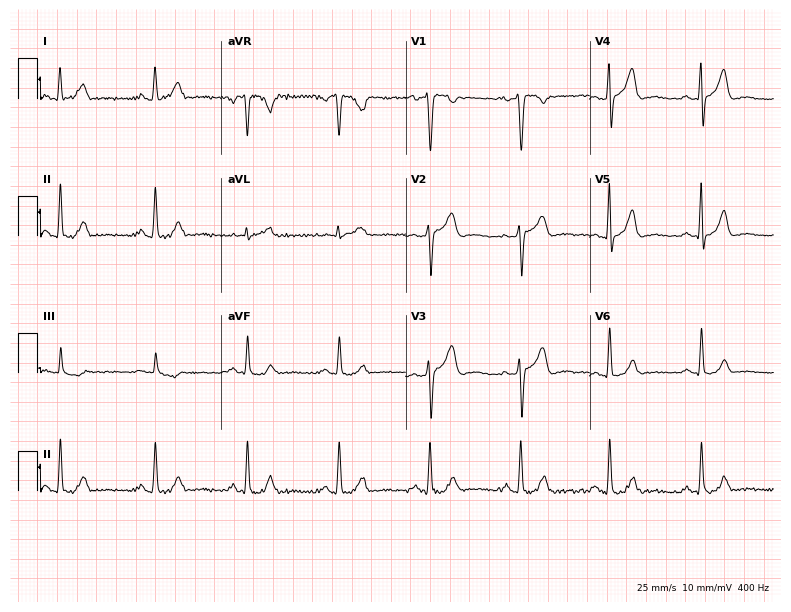
Electrocardiogram (7.5-second recording at 400 Hz), a 45-year-old female patient. Of the six screened findings (first-degree AV block, right bundle branch block (RBBB), left bundle branch block (LBBB), sinus bradycardia, atrial fibrillation (AF), sinus tachycardia), none is recorded.